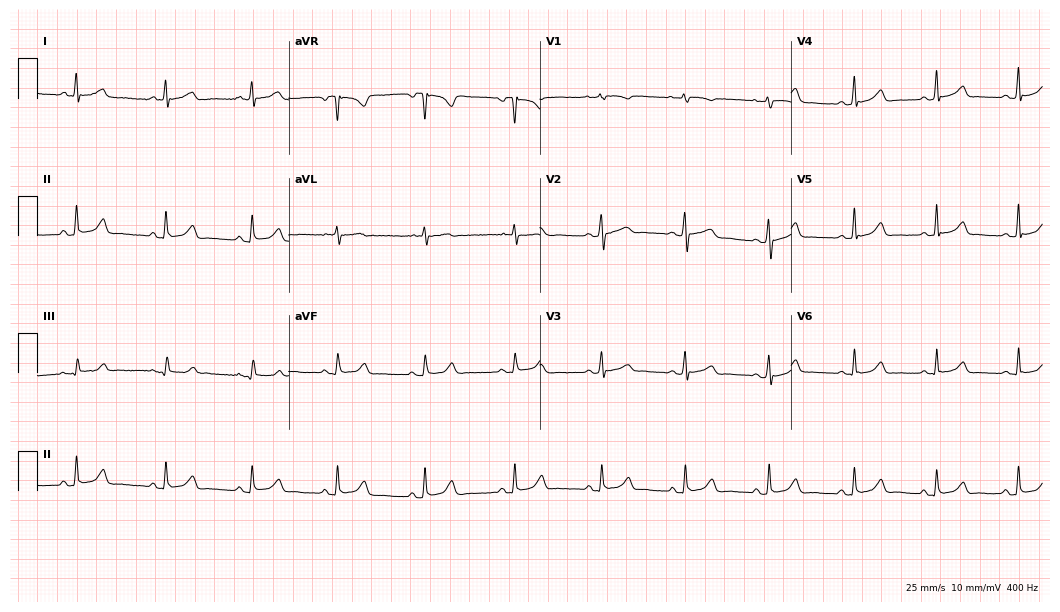
Resting 12-lead electrocardiogram (10.2-second recording at 400 Hz). Patient: a 30-year-old female. Read as a normal ECG.